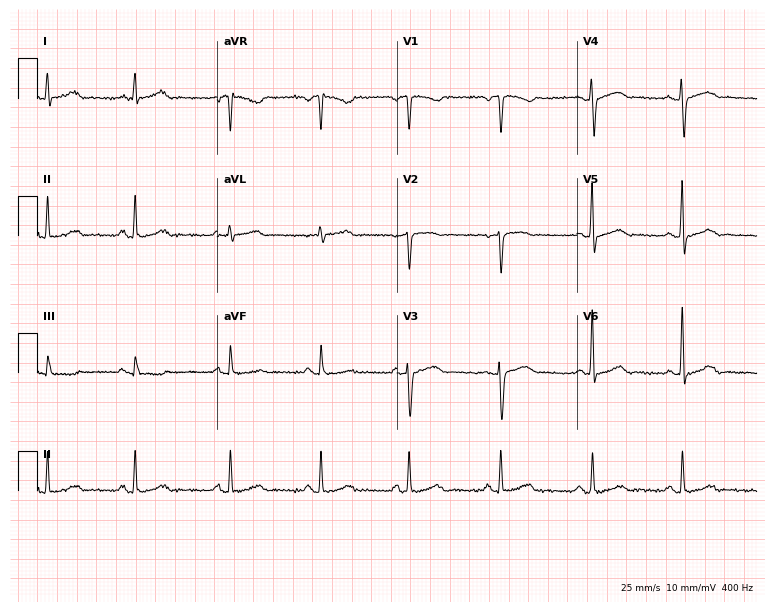
Electrocardiogram (7.3-second recording at 400 Hz), a 38-year-old female. Of the six screened findings (first-degree AV block, right bundle branch block, left bundle branch block, sinus bradycardia, atrial fibrillation, sinus tachycardia), none is recorded. Other findings, if any, are not listed.